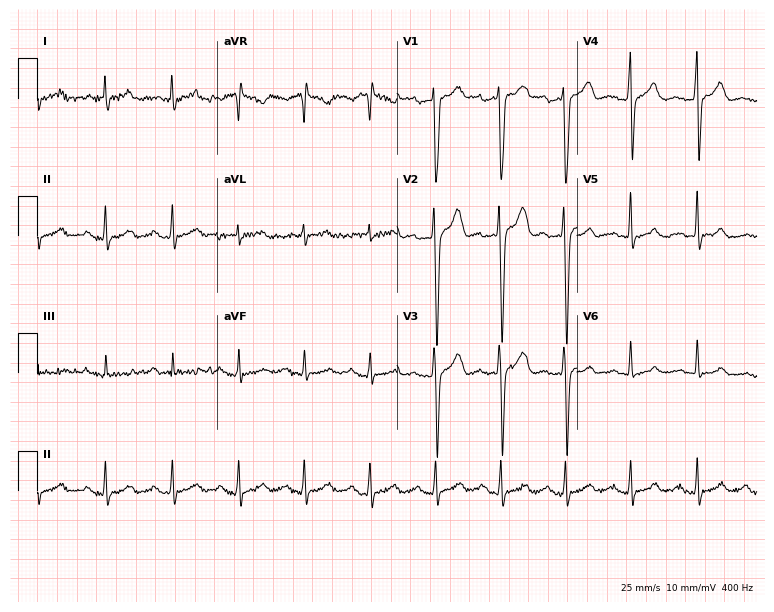
12-lead ECG from a 34-year-old man. Labelled as a normal ECG.